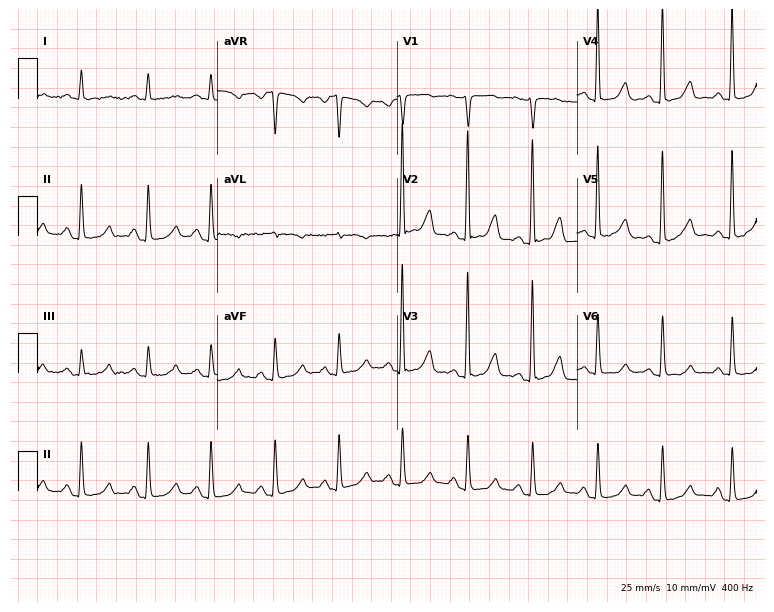
Electrocardiogram, a 48-year-old woman. Of the six screened findings (first-degree AV block, right bundle branch block (RBBB), left bundle branch block (LBBB), sinus bradycardia, atrial fibrillation (AF), sinus tachycardia), none is recorded. Findings outside these six are not listed.